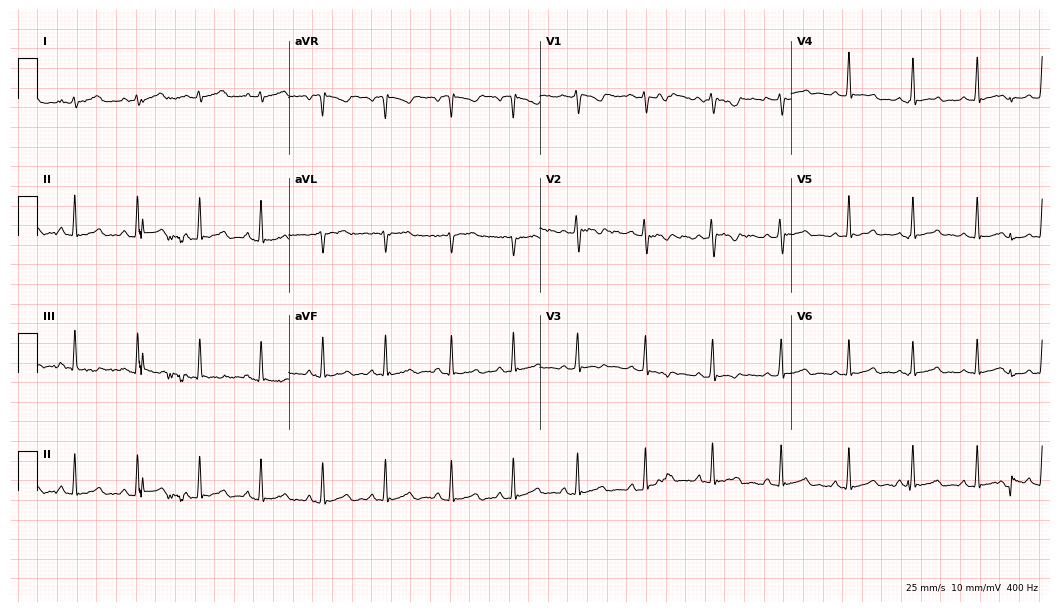
Electrocardiogram, a 24-year-old female. Overall reading on record: normal ECG.